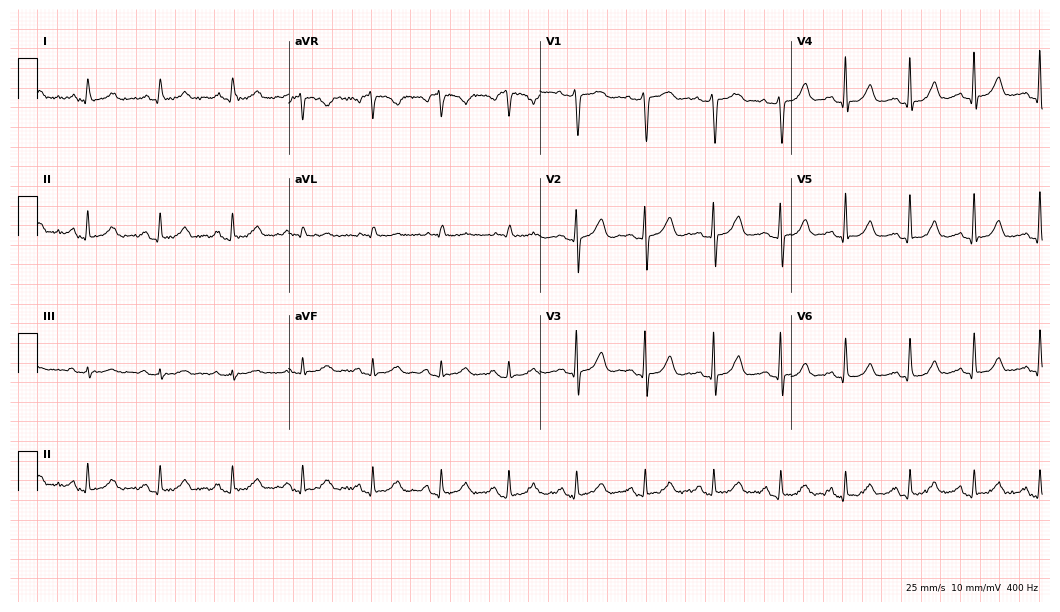
12-lead ECG from a male, 63 years old. Recorded interpretation: within normal limits.